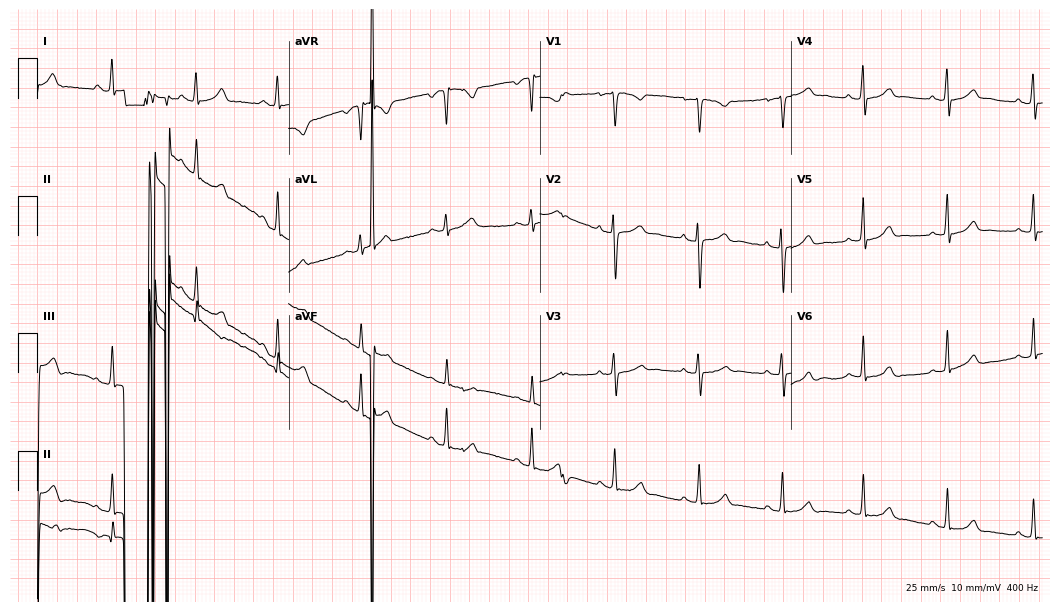
12-lead ECG from a 27-year-old female patient (10.2-second recording at 400 Hz). No first-degree AV block, right bundle branch block (RBBB), left bundle branch block (LBBB), sinus bradycardia, atrial fibrillation (AF) or sinus tachycardia recorded for this tracing.